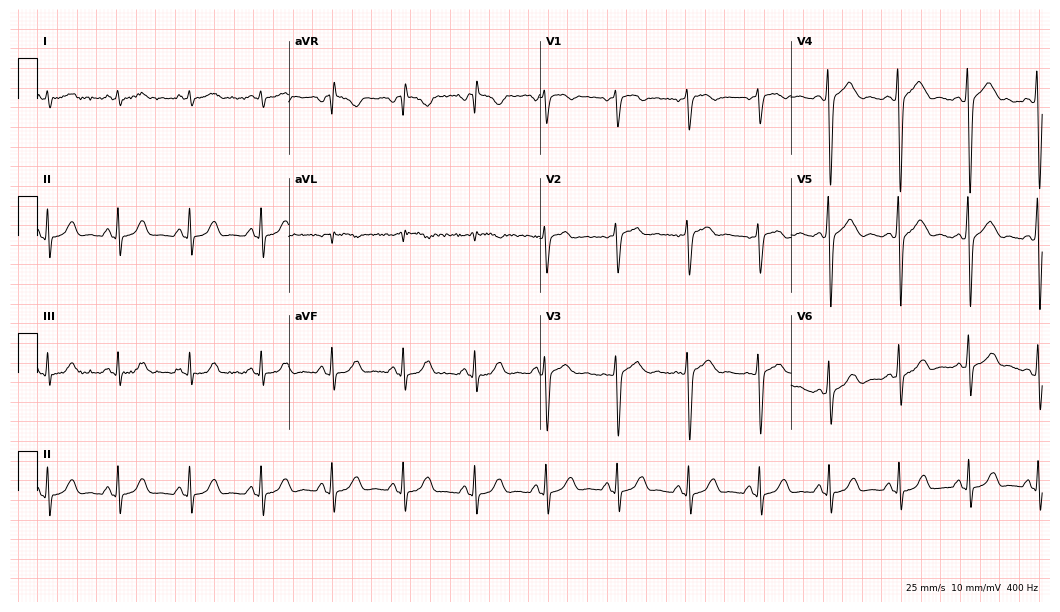
12-lead ECG from a 43-year-old female. Screened for six findings — first-degree AV block, right bundle branch block, left bundle branch block, sinus bradycardia, atrial fibrillation, sinus tachycardia — none is recorded. Findings outside these six are not listed.